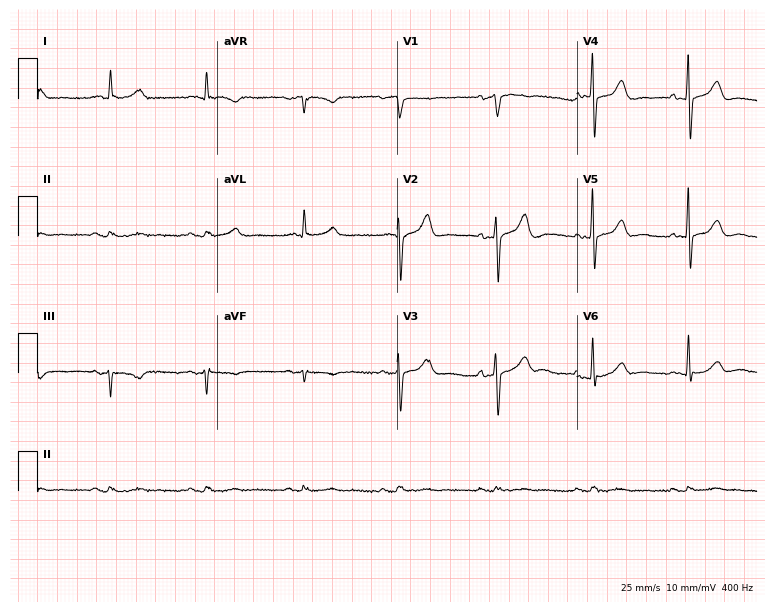
12-lead ECG from an 82-year-old male patient. No first-degree AV block, right bundle branch block, left bundle branch block, sinus bradycardia, atrial fibrillation or sinus tachycardia recorded for this tracing.